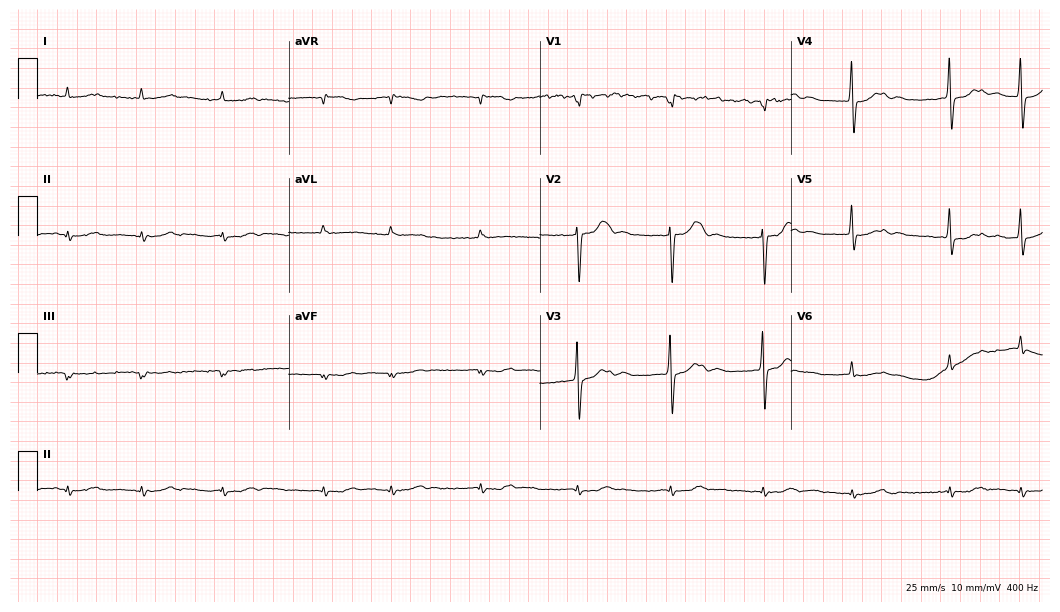
12-lead ECG (10.2-second recording at 400 Hz) from a man, 84 years old. Findings include atrial fibrillation.